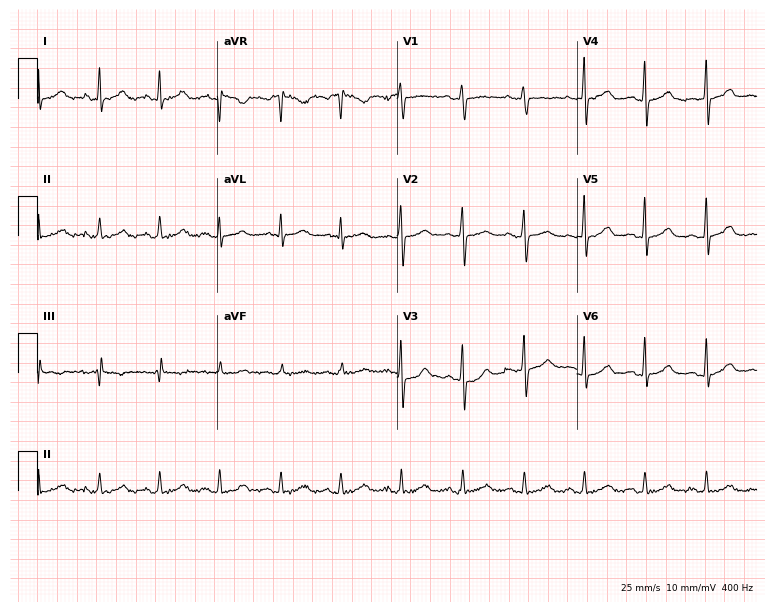
Electrocardiogram, a woman, 40 years old. Overall reading on record: normal ECG.